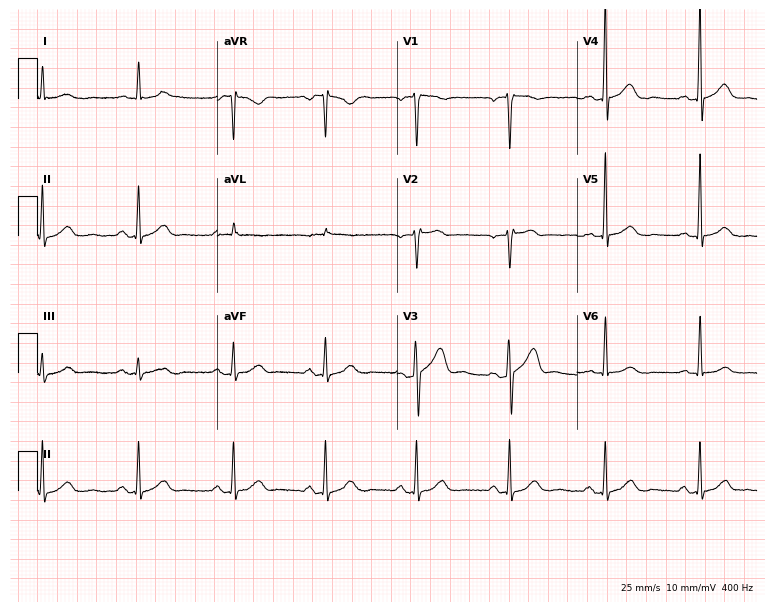
Standard 12-lead ECG recorded from a 66-year-old male (7.3-second recording at 400 Hz). None of these six findings is recorded: first-degree AV block, right bundle branch block (RBBB), left bundle branch block (LBBB), sinus bradycardia, atrial fibrillation (AF), sinus tachycardia. Other findings, if any, are not listed.